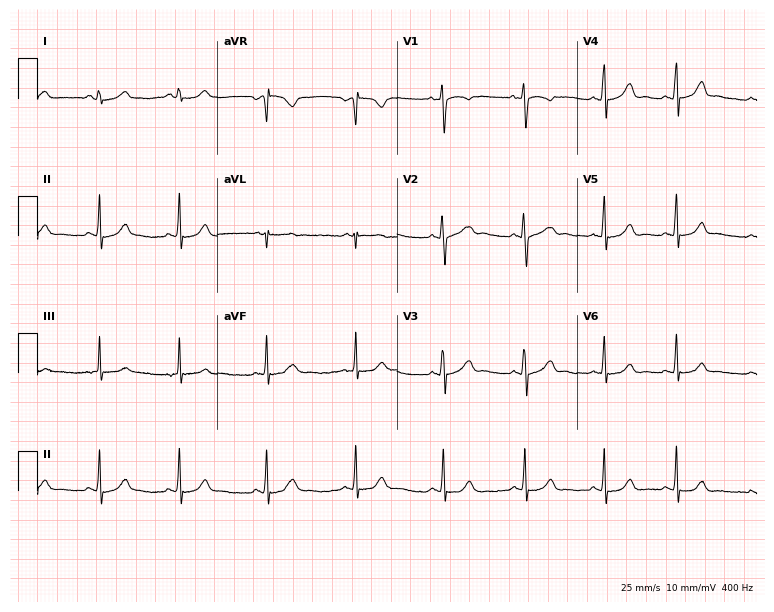
12-lead ECG from a 19-year-old female (7.3-second recording at 400 Hz). No first-degree AV block, right bundle branch block, left bundle branch block, sinus bradycardia, atrial fibrillation or sinus tachycardia recorded for this tracing. Findings outside these six are not listed.